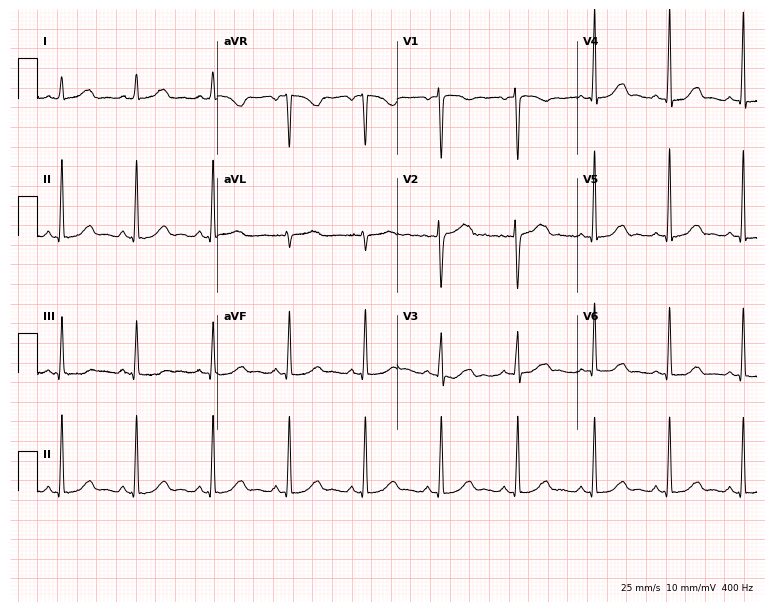
12-lead ECG from a 34-year-old female patient (7.3-second recording at 400 Hz). No first-degree AV block, right bundle branch block (RBBB), left bundle branch block (LBBB), sinus bradycardia, atrial fibrillation (AF) or sinus tachycardia recorded for this tracing.